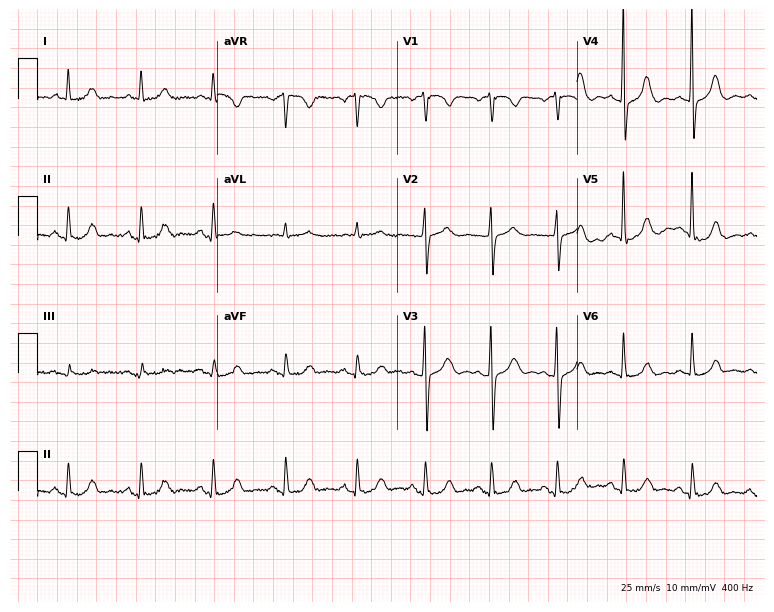
Standard 12-lead ECG recorded from a 75-year-old woman. Read as a normal ECG.